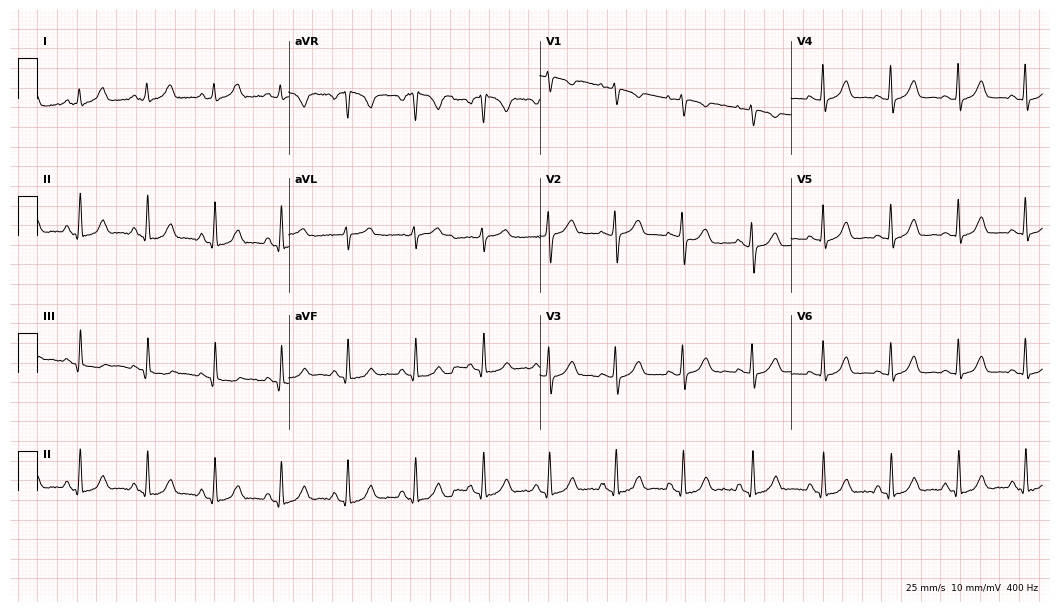
Electrocardiogram, a 36-year-old female. Overall reading on record: normal ECG.